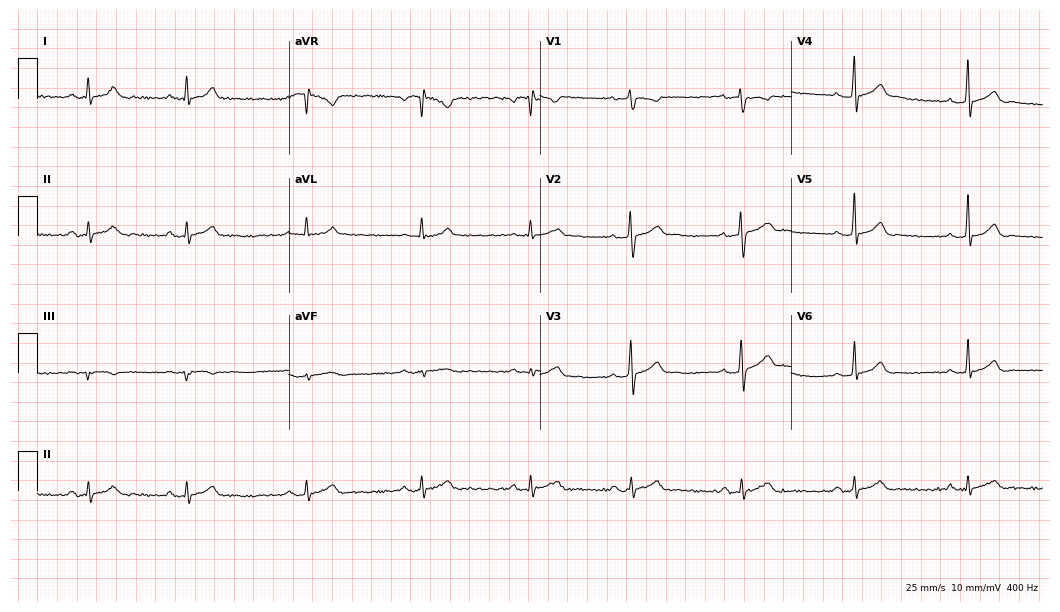
12-lead ECG from a 32-year-old male. Labelled as a normal ECG.